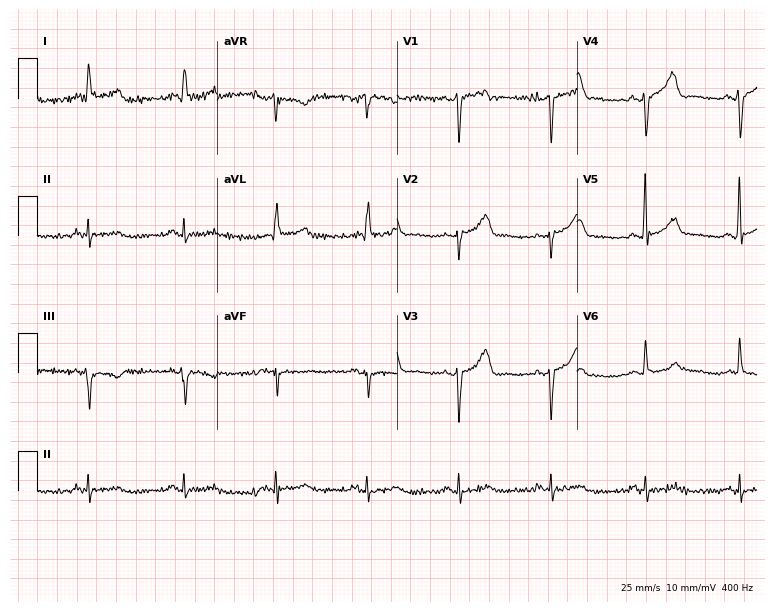
12-lead ECG from a 63-year-old male. Screened for six findings — first-degree AV block, right bundle branch block (RBBB), left bundle branch block (LBBB), sinus bradycardia, atrial fibrillation (AF), sinus tachycardia — none is recorded.